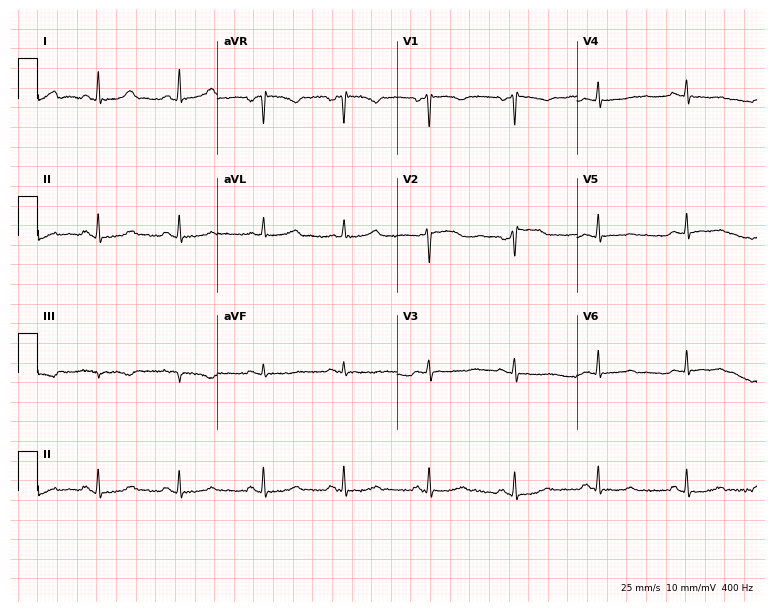
Resting 12-lead electrocardiogram. Patient: a 27-year-old female. None of these six findings is recorded: first-degree AV block, right bundle branch block, left bundle branch block, sinus bradycardia, atrial fibrillation, sinus tachycardia.